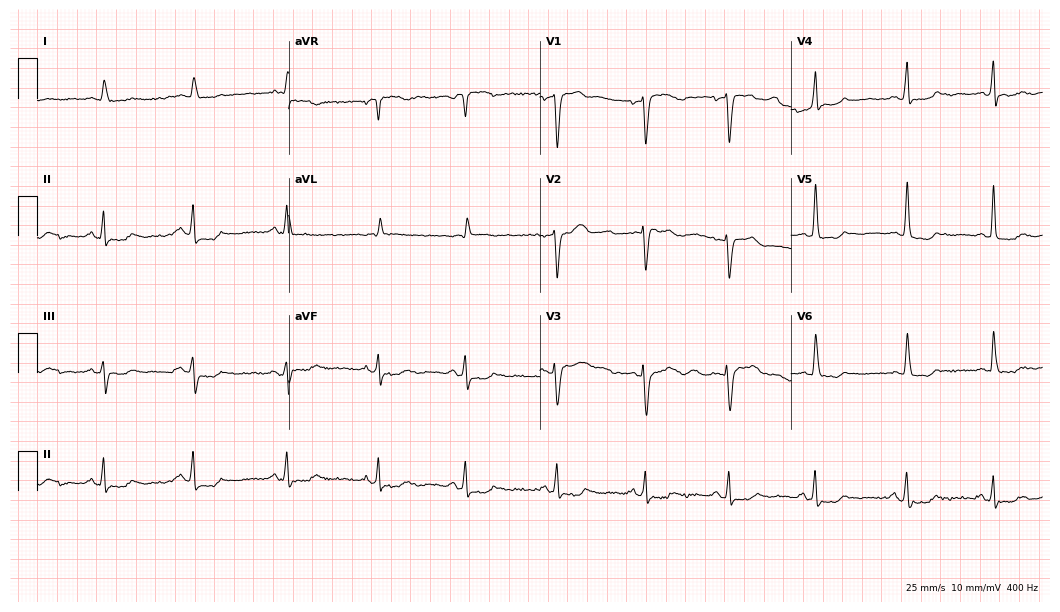
12-lead ECG (10.2-second recording at 400 Hz) from a 78-year-old man. Screened for six findings — first-degree AV block, right bundle branch block, left bundle branch block, sinus bradycardia, atrial fibrillation, sinus tachycardia — none is recorded. Only these six findings were labelled.